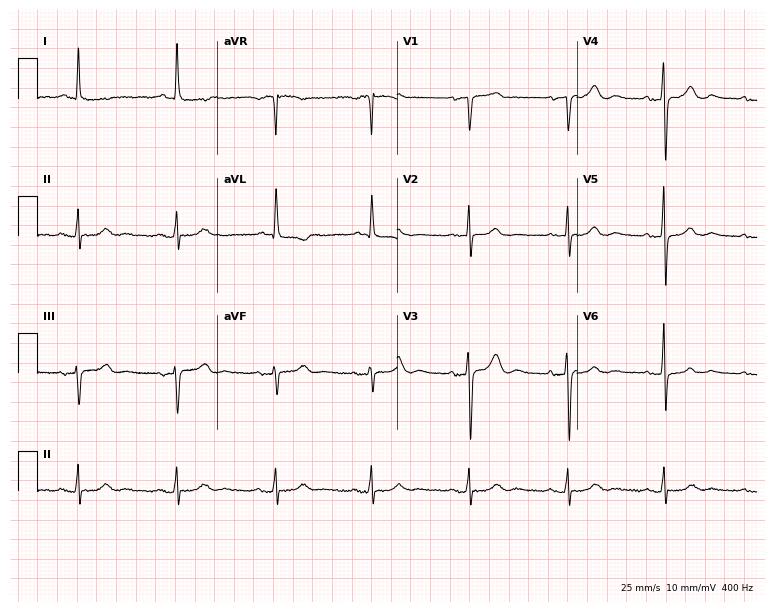
12-lead ECG (7.3-second recording at 400 Hz) from an 81-year-old female. Labelled as a normal ECG.